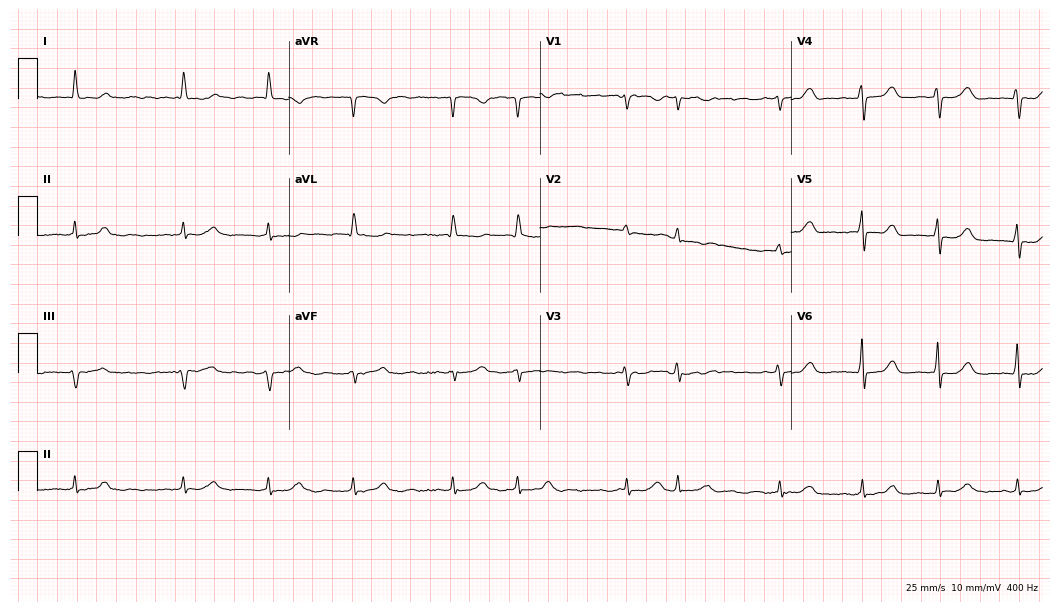
ECG — a 78-year-old woman. Findings include atrial fibrillation.